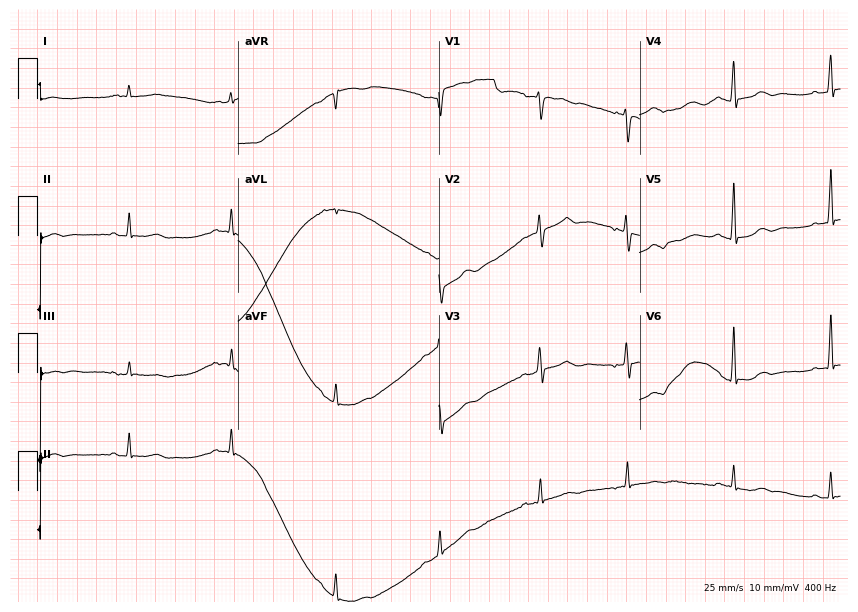
Resting 12-lead electrocardiogram. Patient: a 55-year-old woman. None of these six findings is recorded: first-degree AV block, right bundle branch block, left bundle branch block, sinus bradycardia, atrial fibrillation, sinus tachycardia. Only these six findings were labelled.